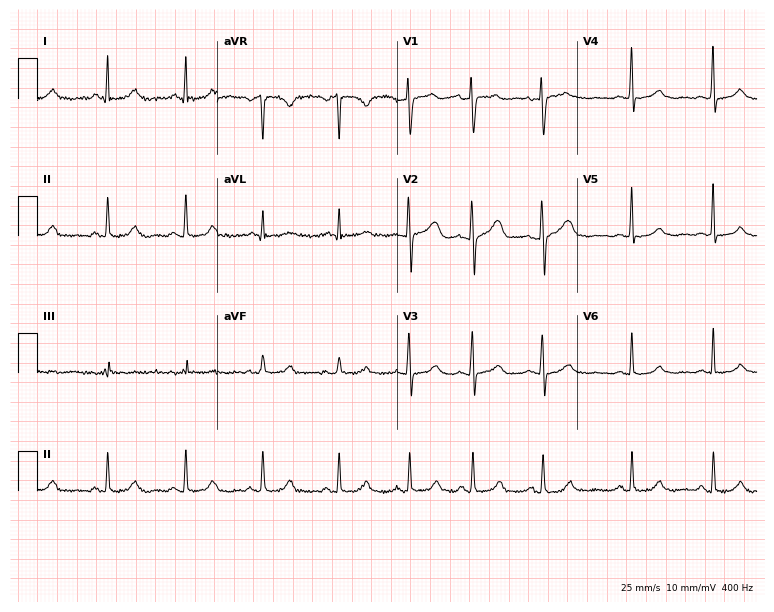
12-lead ECG from a 52-year-old female. Recorded interpretation: within normal limits.